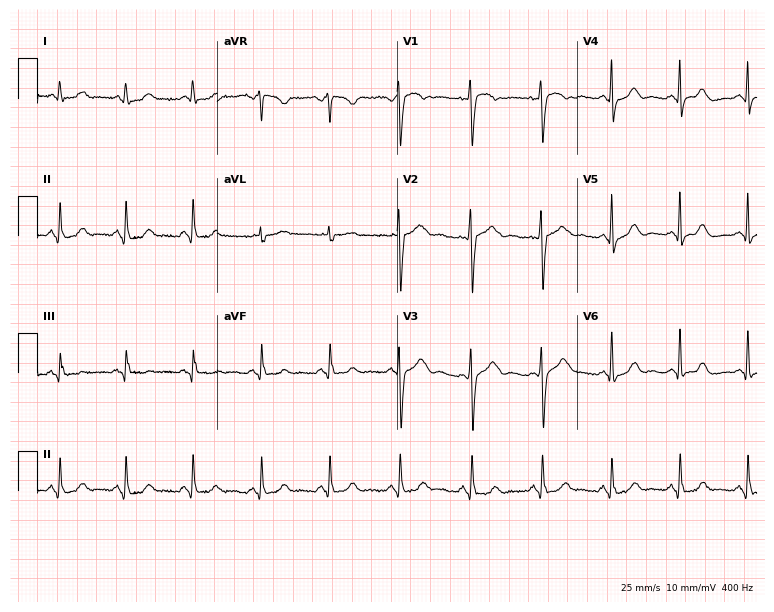
12-lead ECG from a 59-year-old woman (7.3-second recording at 400 Hz). Recorded interpretation: within normal limits.